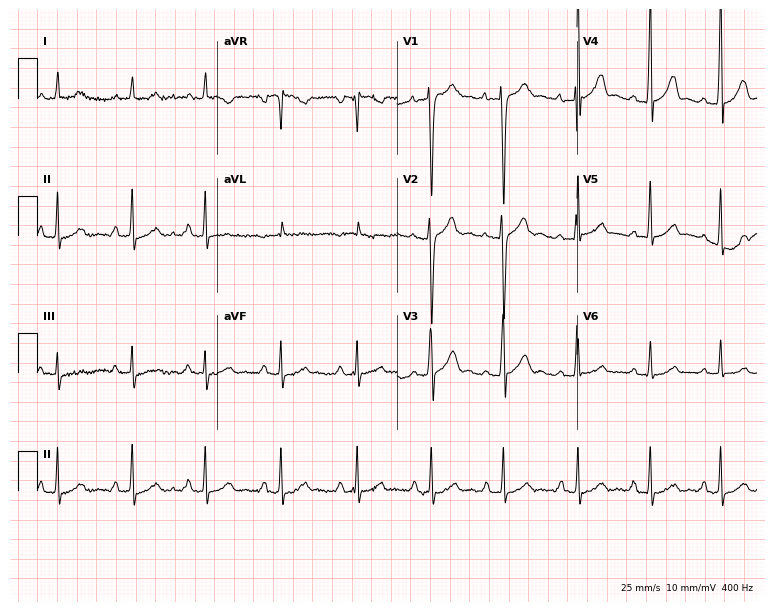
Standard 12-lead ECG recorded from a 17-year-old man. None of these six findings is recorded: first-degree AV block, right bundle branch block, left bundle branch block, sinus bradycardia, atrial fibrillation, sinus tachycardia. Findings outside these six are not listed.